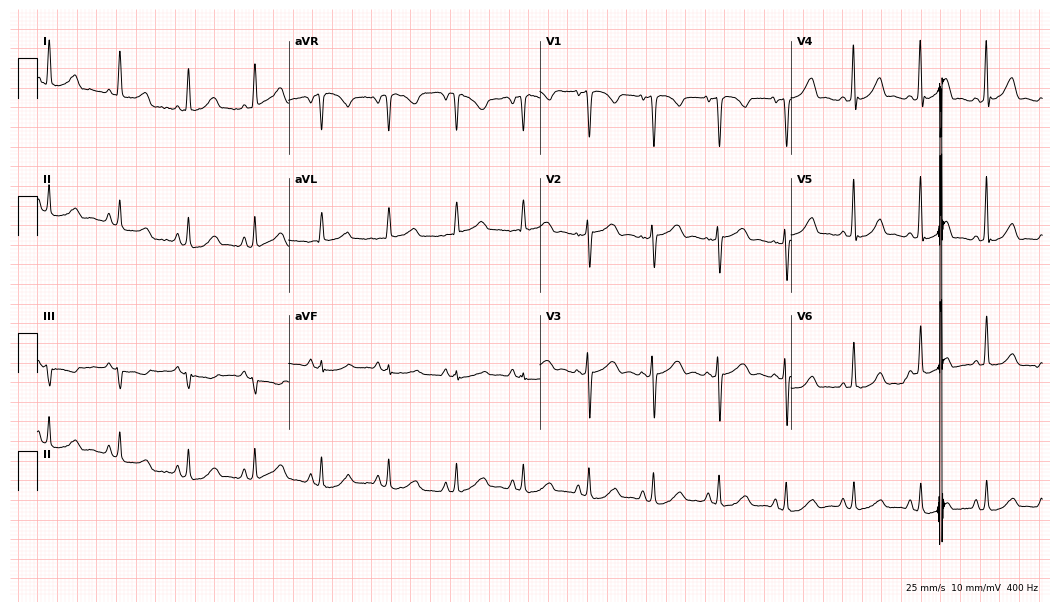
ECG — a 72-year-old woman. Screened for six findings — first-degree AV block, right bundle branch block, left bundle branch block, sinus bradycardia, atrial fibrillation, sinus tachycardia — none is recorded. Only these six findings were labelled.